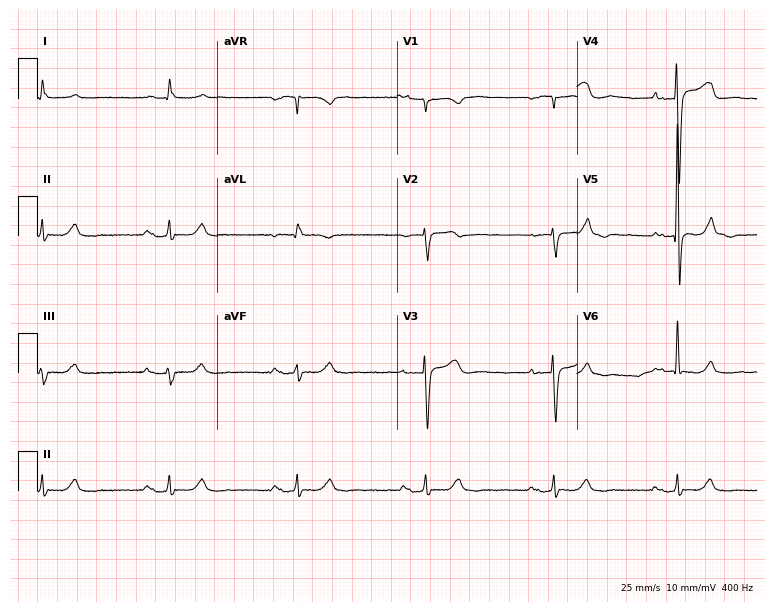
Standard 12-lead ECG recorded from a male, 81 years old (7.3-second recording at 400 Hz). None of these six findings is recorded: first-degree AV block, right bundle branch block (RBBB), left bundle branch block (LBBB), sinus bradycardia, atrial fibrillation (AF), sinus tachycardia.